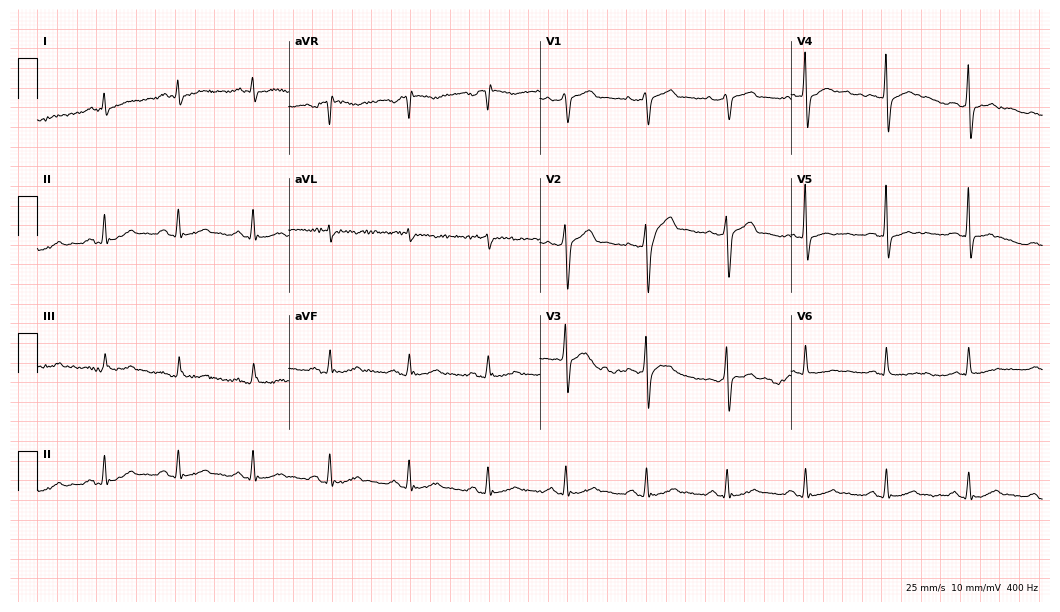
12-lead ECG from a male, 56 years old. Labelled as a normal ECG.